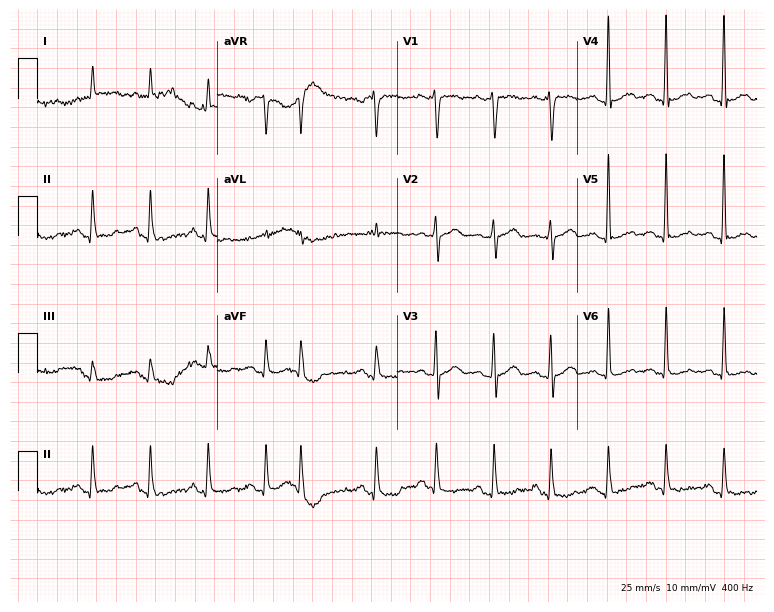
12-lead ECG from a male, 72 years old. Screened for six findings — first-degree AV block, right bundle branch block, left bundle branch block, sinus bradycardia, atrial fibrillation, sinus tachycardia — none is recorded.